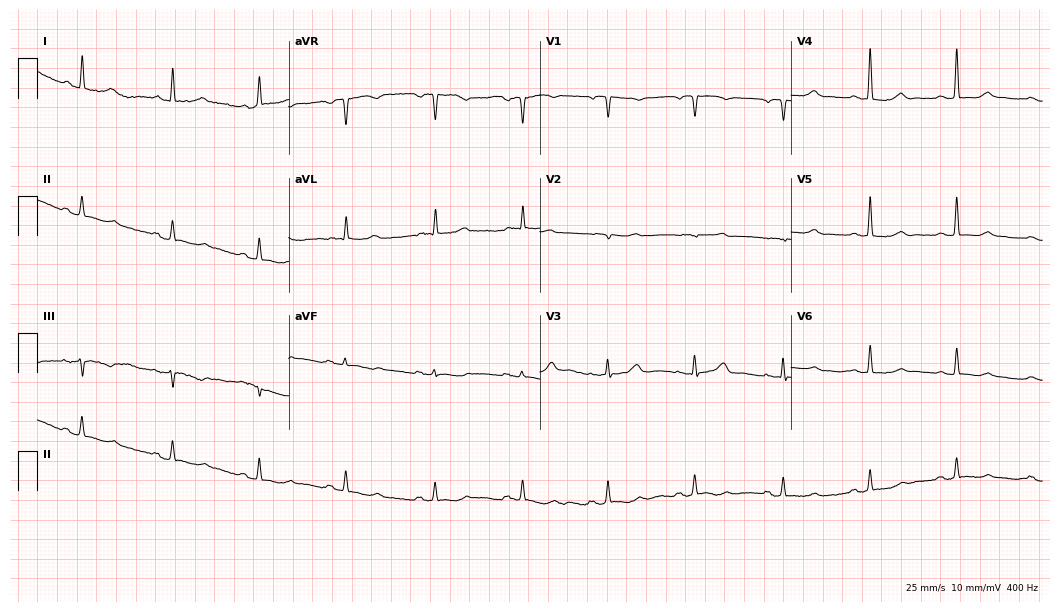
12-lead ECG from a female patient, 77 years old. No first-degree AV block, right bundle branch block, left bundle branch block, sinus bradycardia, atrial fibrillation or sinus tachycardia recorded for this tracing. Other findings, if any, are not listed.